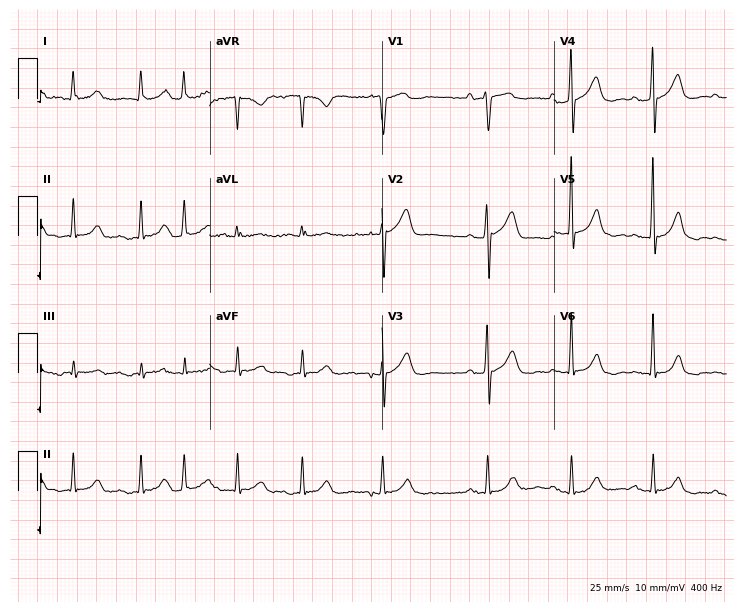
12-lead ECG (7-second recording at 400 Hz) from a male, 83 years old. Screened for six findings — first-degree AV block, right bundle branch block (RBBB), left bundle branch block (LBBB), sinus bradycardia, atrial fibrillation (AF), sinus tachycardia — none is recorded.